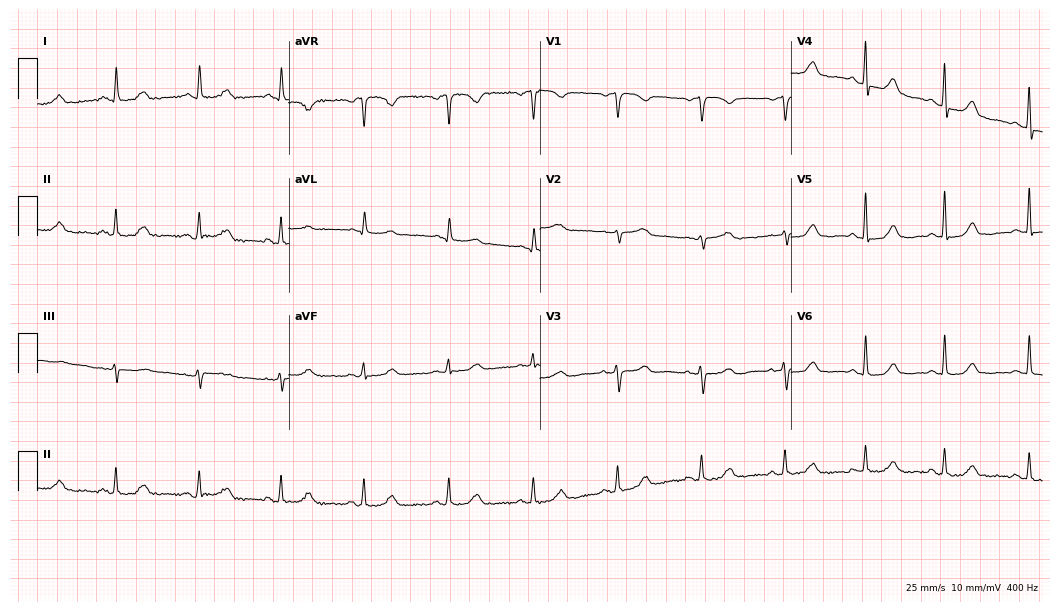
Standard 12-lead ECG recorded from a female, 72 years old (10.2-second recording at 400 Hz). Read as a normal ECG.